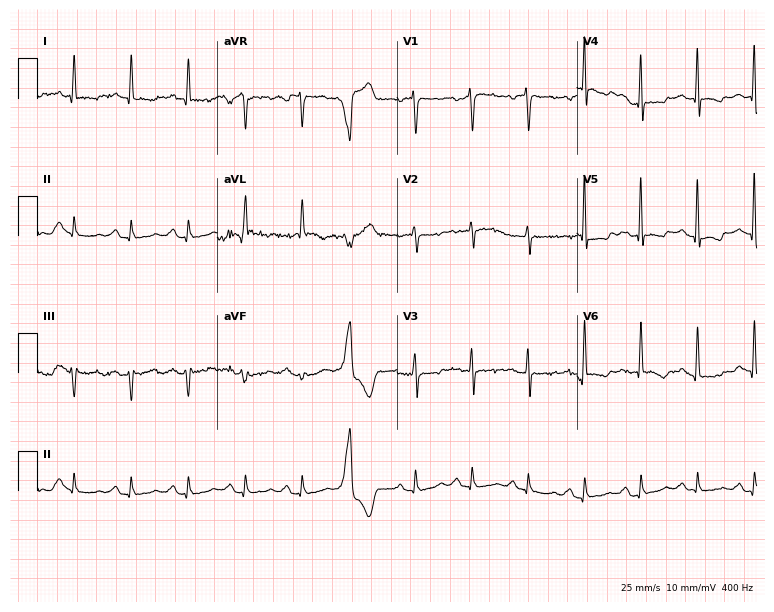
12-lead ECG from a 78-year-old man (7.3-second recording at 400 Hz). No first-degree AV block, right bundle branch block, left bundle branch block, sinus bradycardia, atrial fibrillation or sinus tachycardia recorded for this tracing. Findings outside these six are not listed.